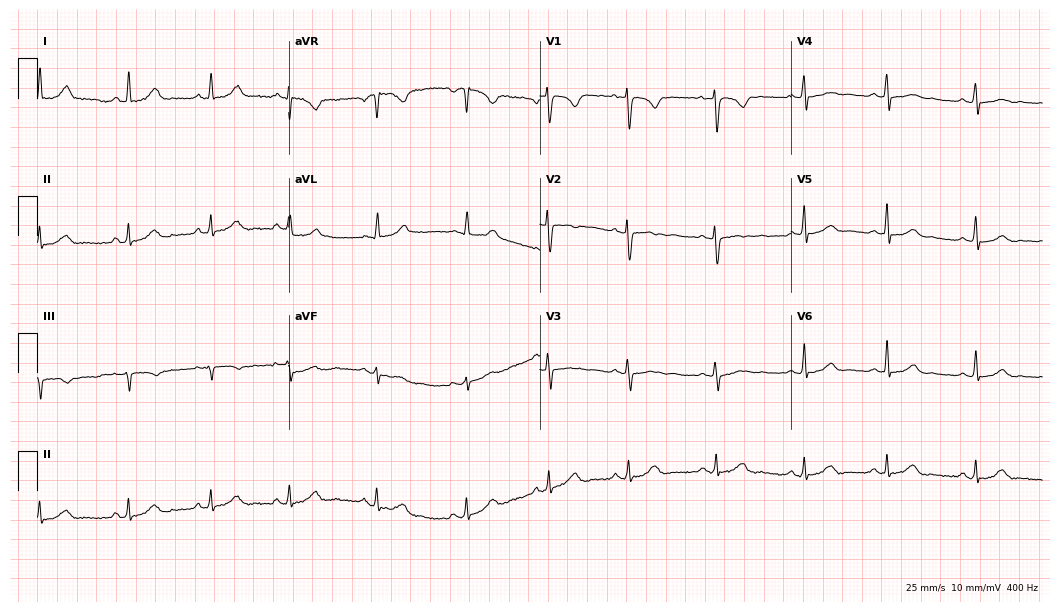
Resting 12-lead electrocardiogram. Patient: a 34-year-old female. Read as a normal ECG.